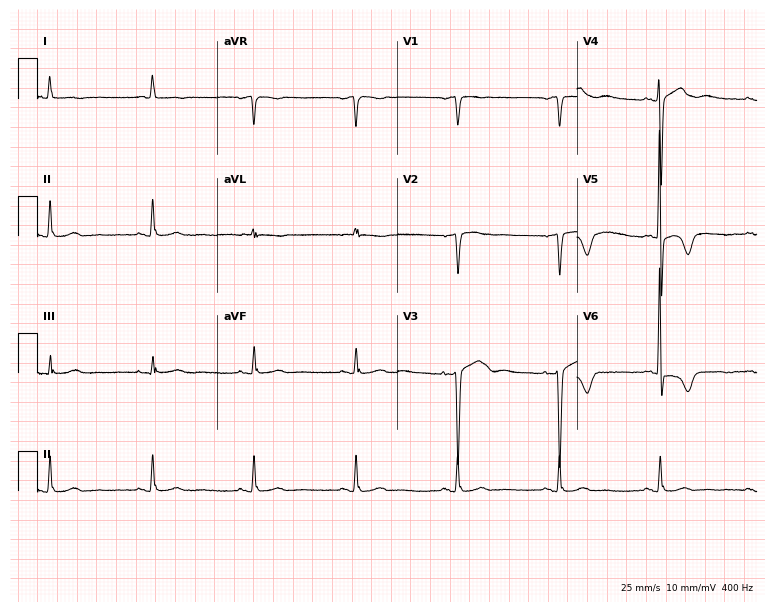
ECG — an 83-year-old female patient. Screened for six findings — first-degree AV block, right bundle branch block, left bundle branch block, sinus bradycardia, atrial fibrillation, sinus tachycardia — none is recorded. Findings outside these six are not listed.